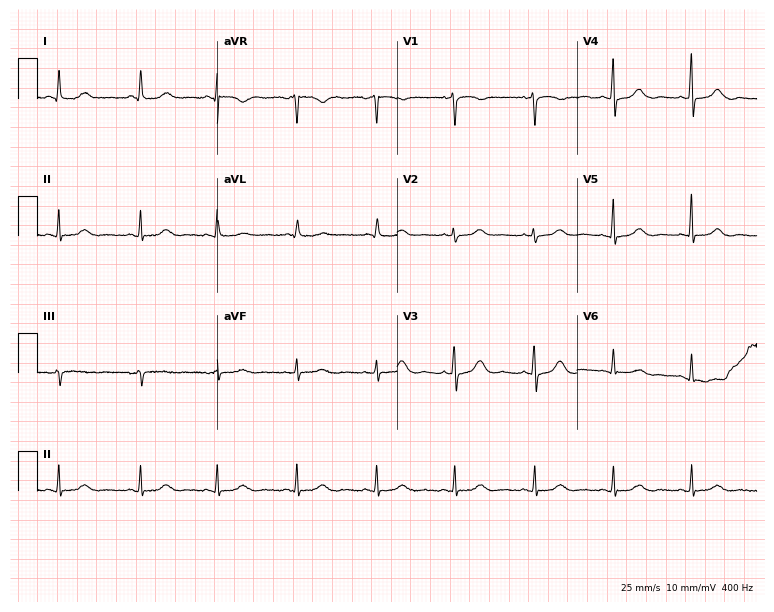
Resting 12-lead electrocardiogram (7.3-second recording at 400 Hz). Patient: an 81-year-old female. Read as a normal ECG.